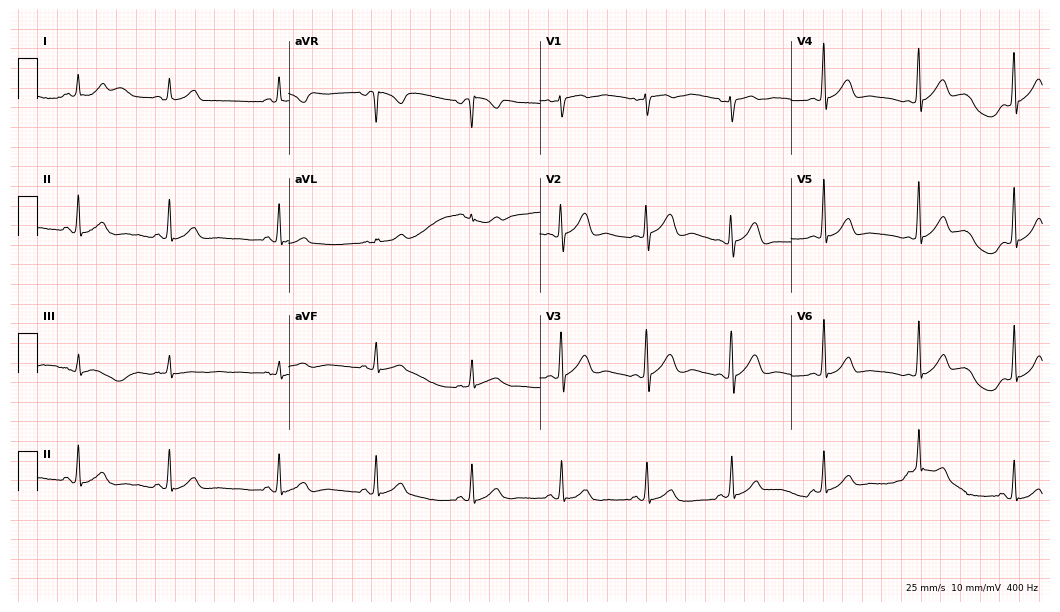
Standard 12-lead ECG recorded from a female, 44 years old (10.2-second recording at 400 Hz). Read as a normal ECG.